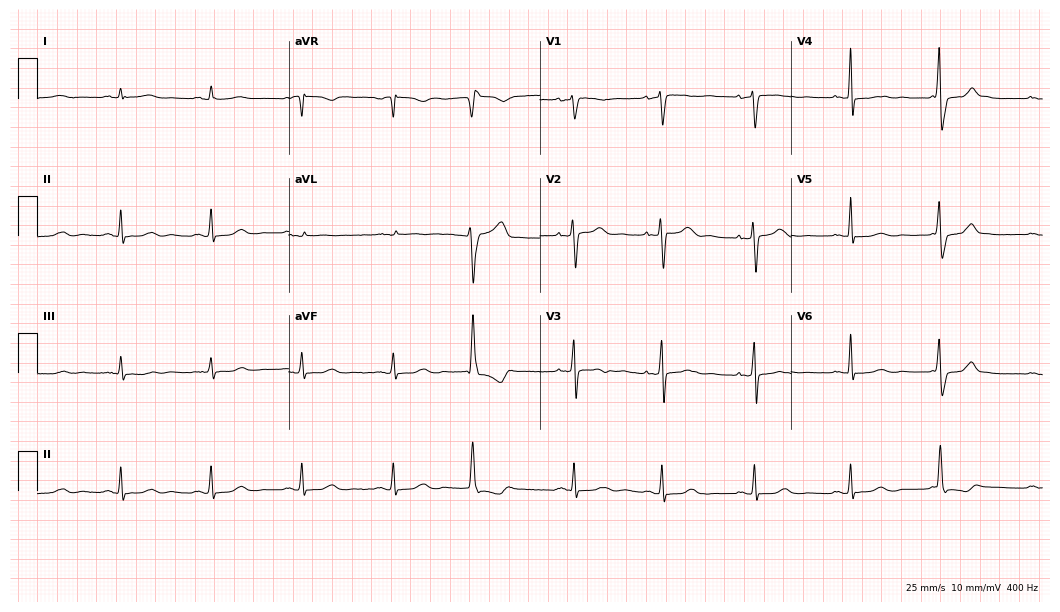
ECG — a 48-year-old female patient. Labelled as a normal ECG.